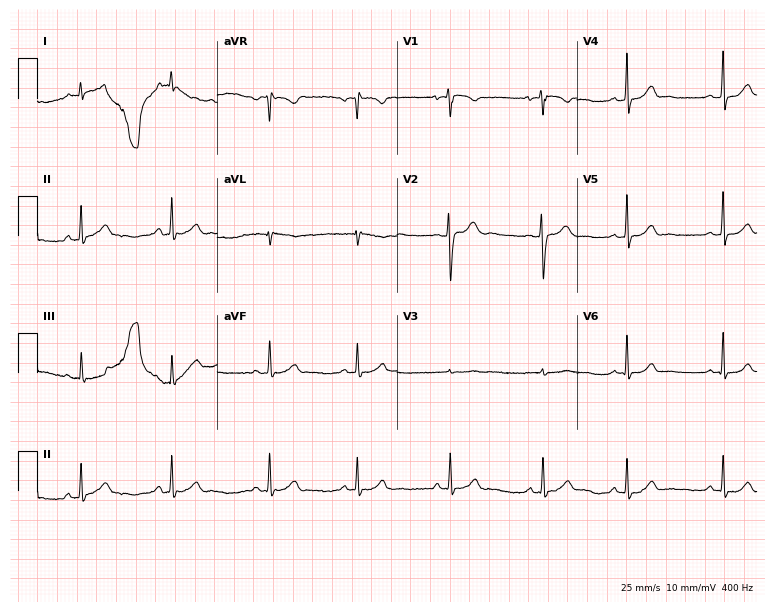
Standard 12-lead ECG recorded from a 21-year-old female. None of these six findings is recorded: first-degree AV block, right bundle branch block, left bundle branch block, sinus bradycardia, atrial fibrillation, sinus tachycardia.